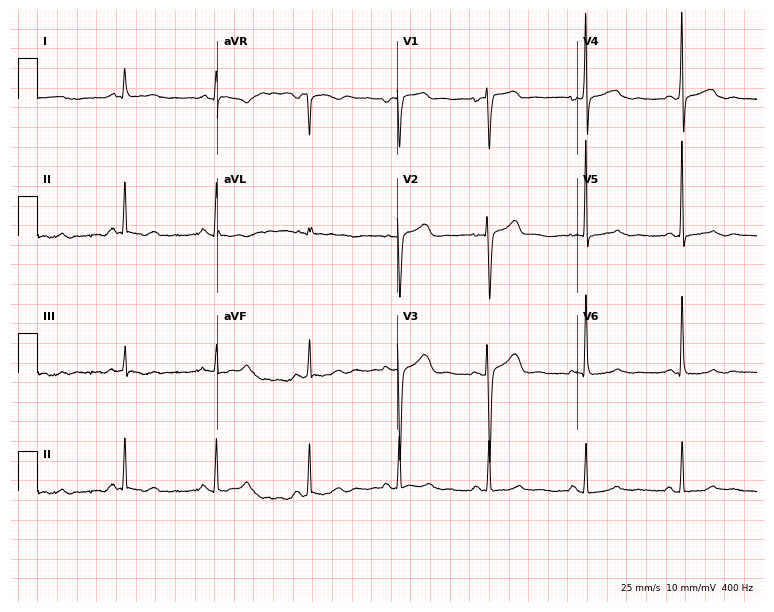
Resting 12-lead electrocardiogram (7.3-second recording at 400 Hz). Patient: a female, 63 years old. Read as a normal ECG.